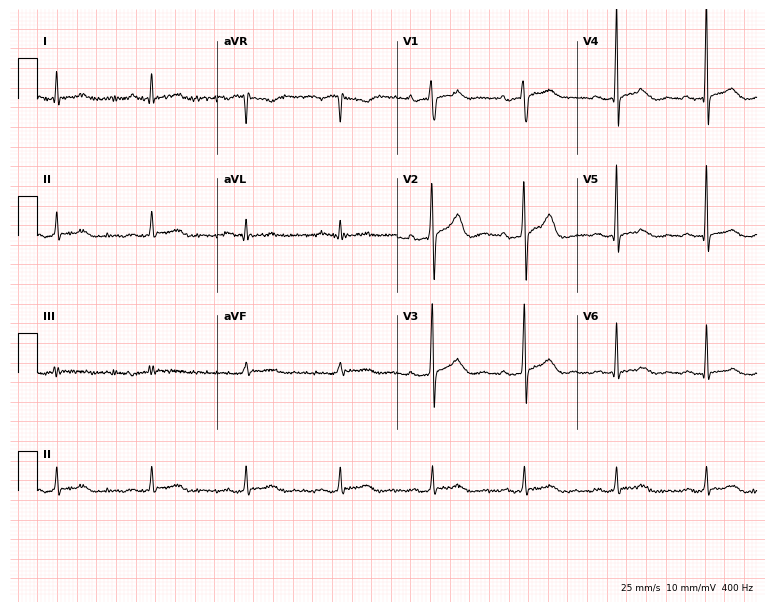
Resting 12-lead electrocardiogram (7.3-second recording at 400 Hz). Patient: a male, 51 years old. The tracing shows first-degree AV block.